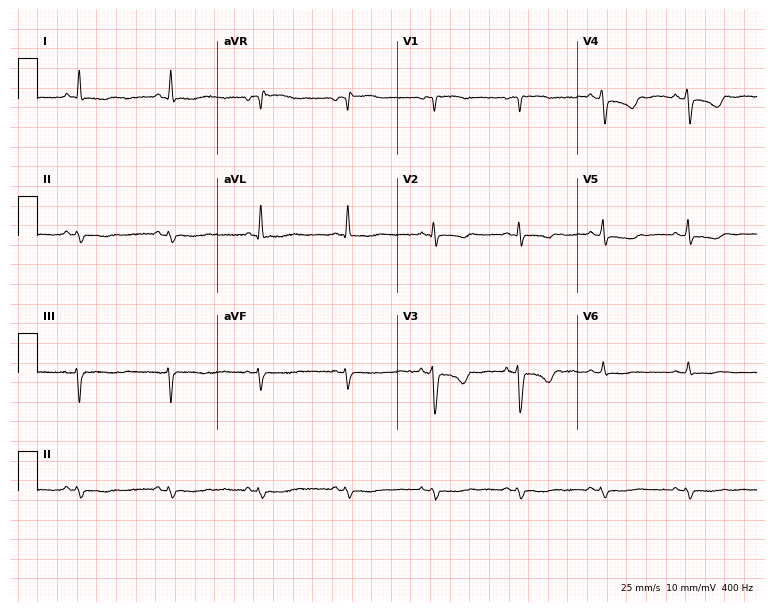
12-lead ECG from a female patient, 54 years old (7.3-second recording at 400 Hz). No first-degree AV block, right bundle branch block (RBBB), left bundle branch block (LBBB), sinus bradycardia, atrial fibrillation (AF) or sinus tachycardia recorded for this tracing.